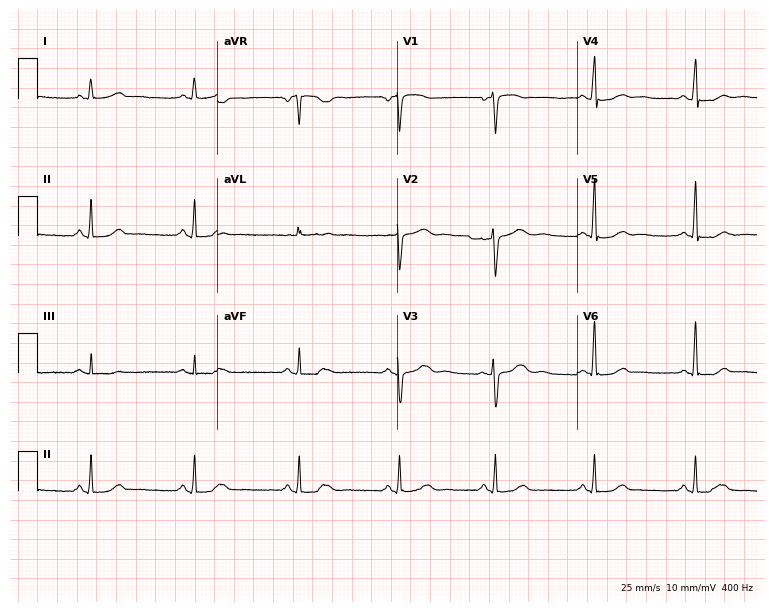
12-lead ECG from a 56-year-old woman. Labelled as a normal ECG.